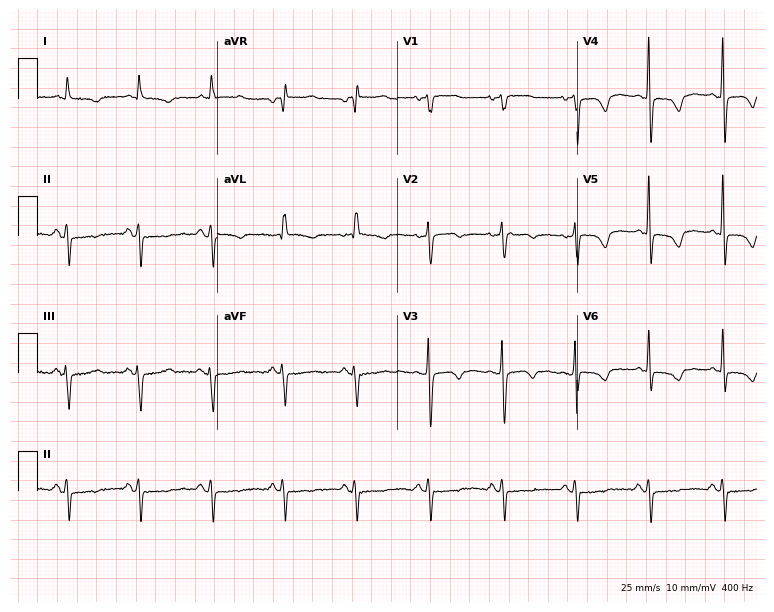
12-lead ECG from a woman, 72 years old. No first-degree AV block, right bundle branch block (RBBB), left bundle branch block (LBBB), sinus bradycardia, atrial fibrillation (AF) or sinus tachycardia recorded for this tracing.